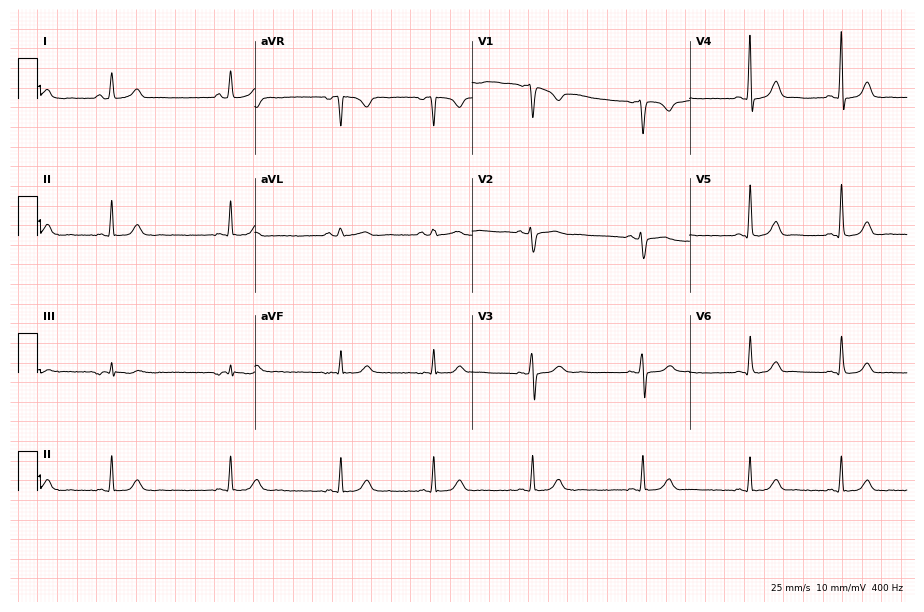
Resting 12-lead electrocardiogram (8.9-second recording at 400 Hz). Patient: a 42-year-old woman. None of these six findings is recorded: first-degree AV block, right bundle branch block, left bundle branch block, sinus bradycardia, atrial fibrillation, sinus tachycardia.